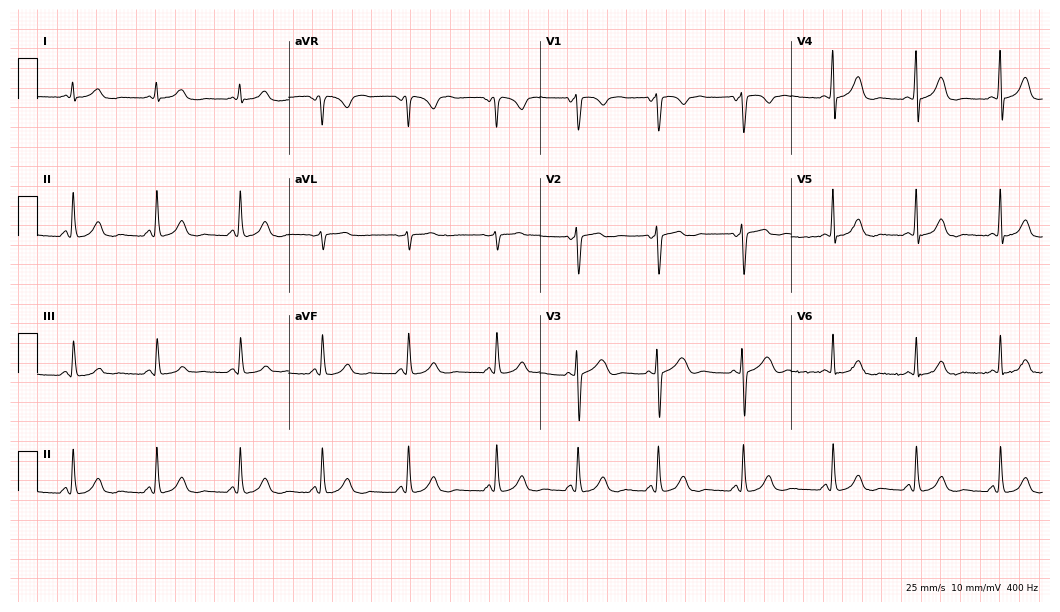
12-lead ECG from a woman, 23 years old (10.2-second recording at 400 Hz). Recorded interpretation: within normal limits.